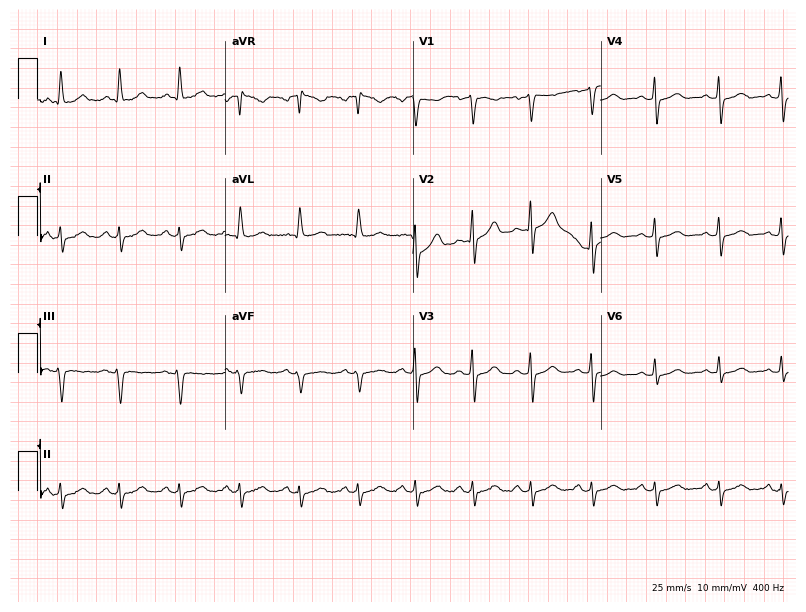
Electrocardiogram, a 52-year-old female patient. Of the six screened findings (first-degree AV block, right bundle branch block, left bundle branch block, sinus bradycardia, atrial fibrillation, sinus tachycardia), none is recorded. Findings outside these six are not listed.